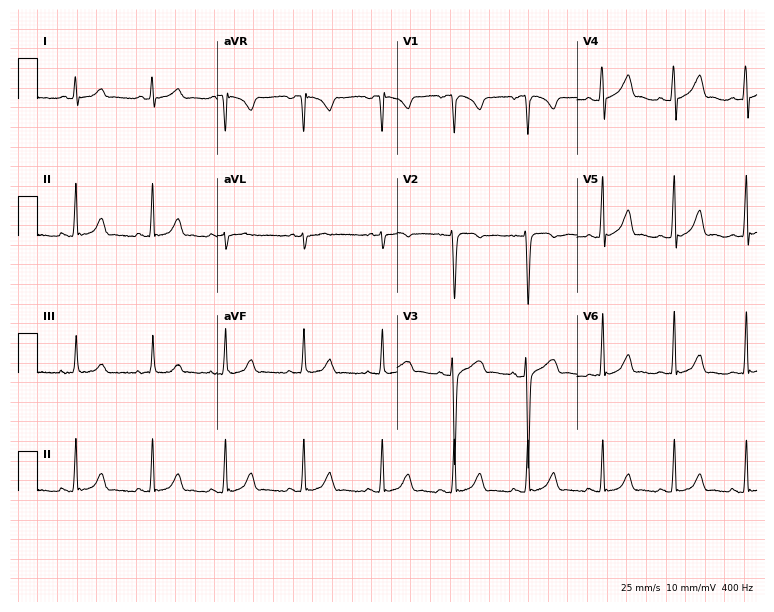
ECG — a 17-year-old female. Labelled as a normal ECG.